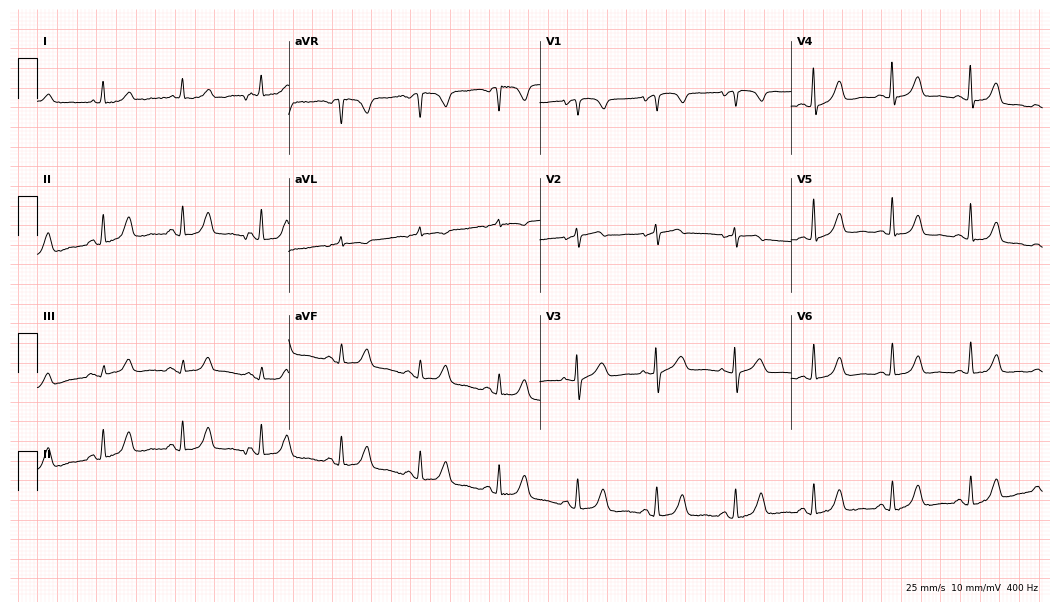
12-lead ECG (10.2-second recording at 400 Hz) from a woman, 73 years old. Labelled as a normal ECG.